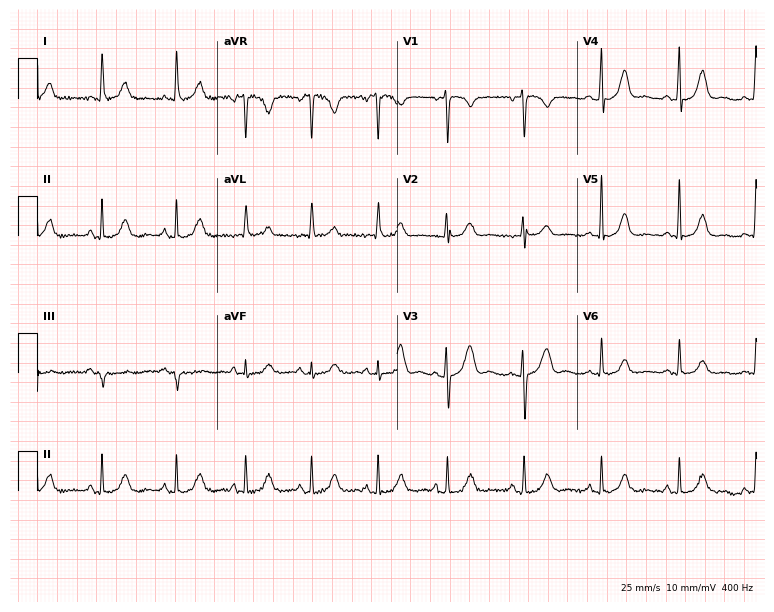
12-lead ECG from a 61-year-old female patient. Screened for six findings — first-degree AV block, right bundle branch block, left bundle branch block, sinus bradycardia, atrial fibrillation, sinus tachycardia — none is recorded. Findings outside these six are not listed.